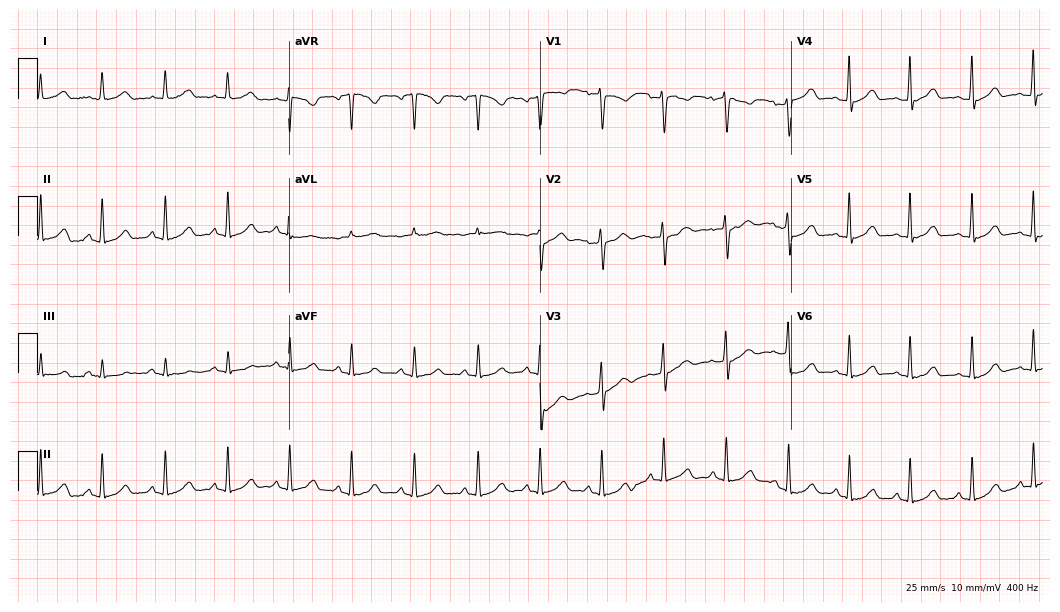
Electrocardiogram, a female patient, 43 years old. Of the six screened findings (first-degree AV block, right bundle branch block, left bundle branch block, sinus bradycardia, atrial fibrillation, sinus tachycardia), none is recorded. Only these six findings were labelled.